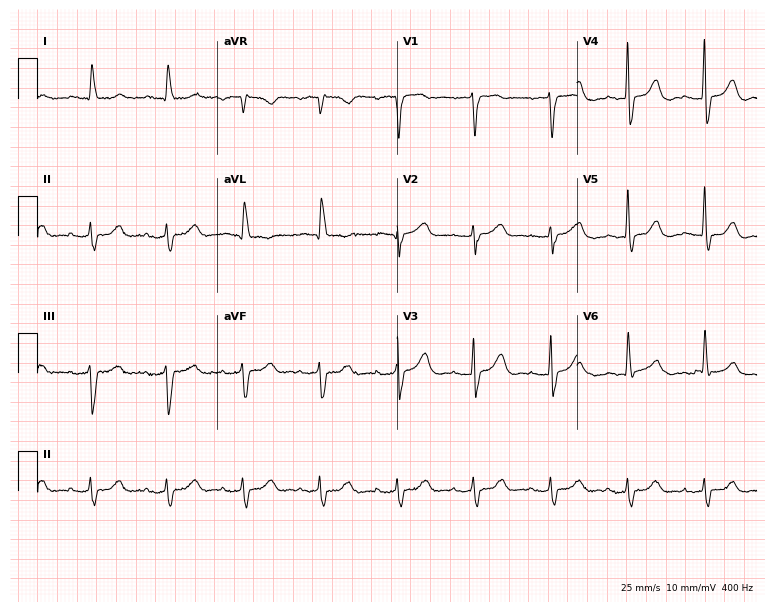
ECG (7.3-second recording at 400 Hz) — a 74-year-old female patient. Findings include first-degree AV block.